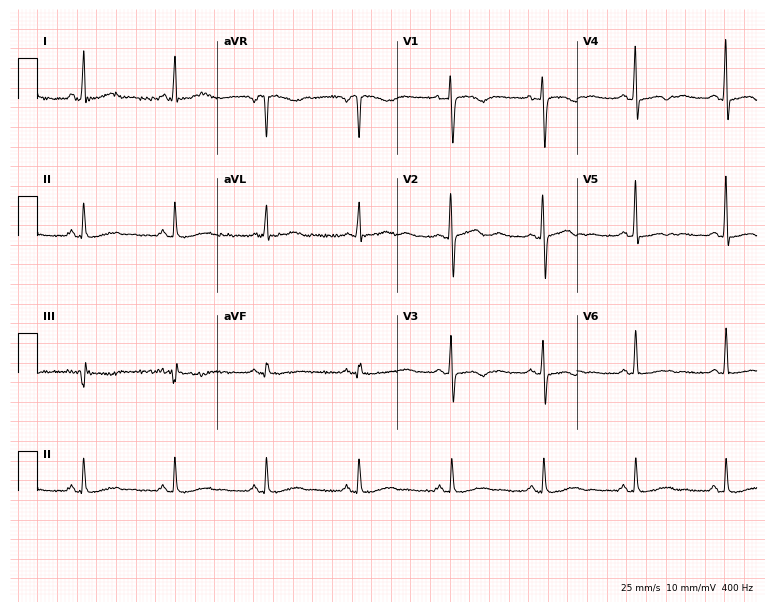
Electrocardiogram (7.3-second recording at 400 Hz), a woman, 51 years old. Of the six screened findings (first-degree AV block, right bundle branch block, left bundle branch block, sinus bradycardia, atrial fibrillation, sinus tachycardia), none is recorded.